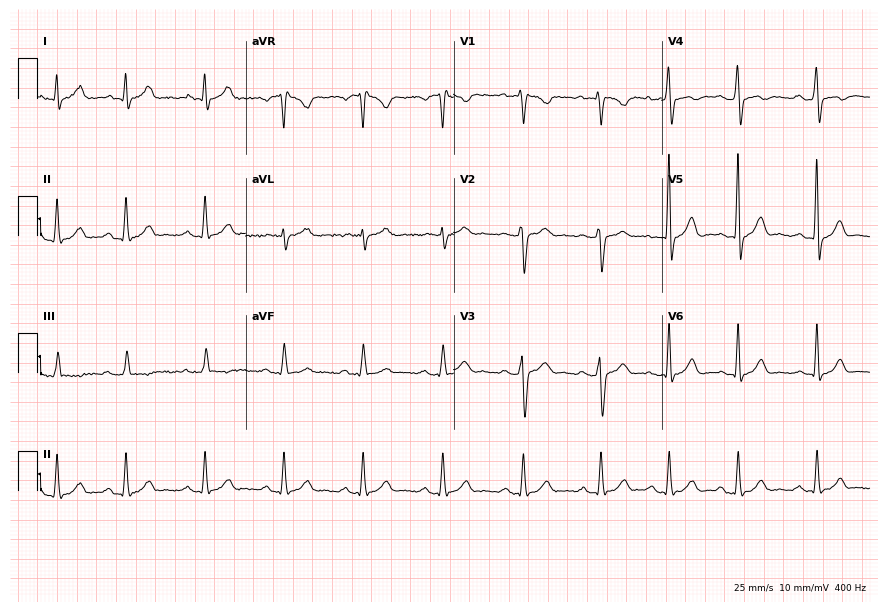
ECG — a male, 26 years old. Screened for six findings — first-degree AV block, right bundle branch block, left bundle branch block, sinus bradycardia, atrial fibrillation, sinus tachycardia — none is recorded. Only these six findings were labelled.